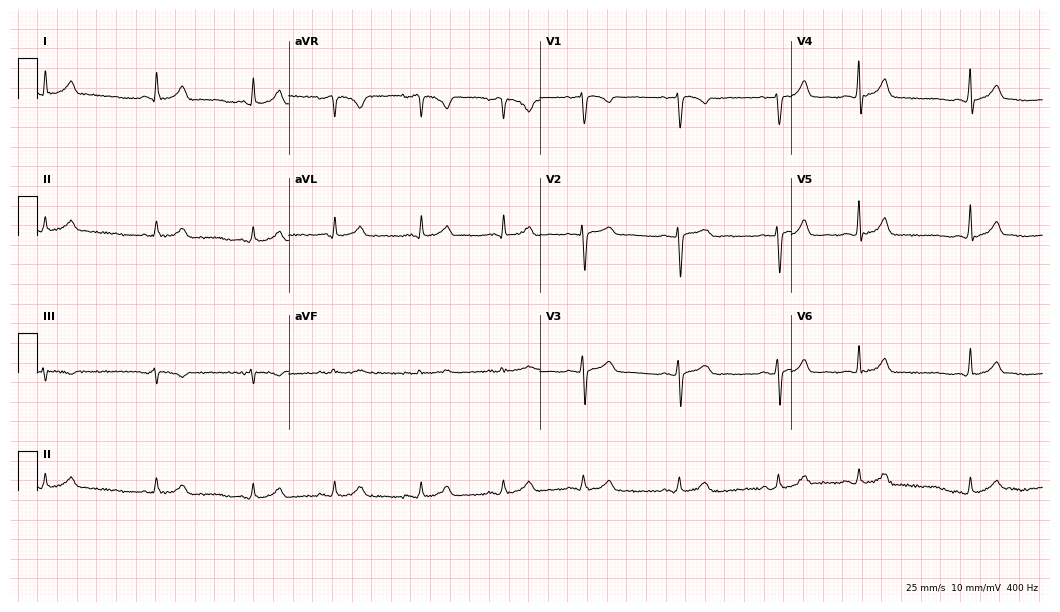
Resting 12-lead electrocardiogram (10.2-second recording at 400 Hz). Patient: a 19-year-old female. Read as a normal ECG.